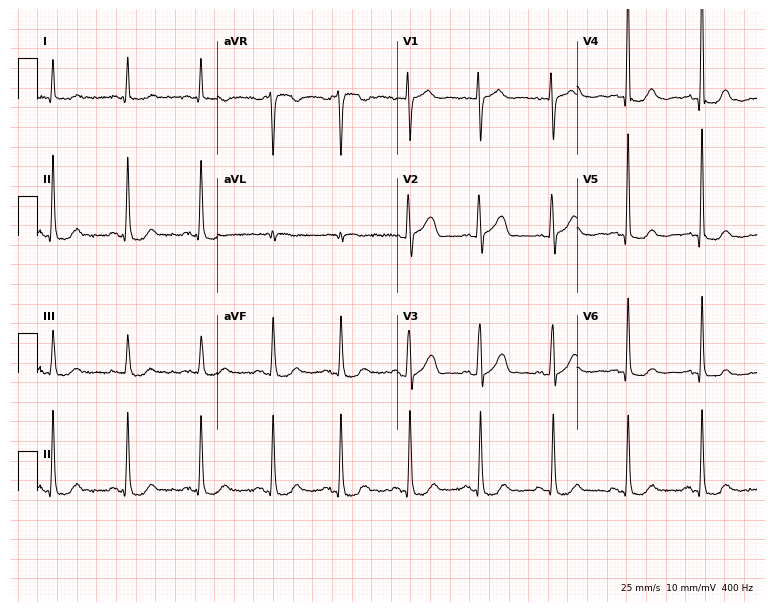
Resting 12-lead electrocardiogram (7.3-second recording at 400 Hz). Patient: a 71-year-old woman. Read as a normal ECG.